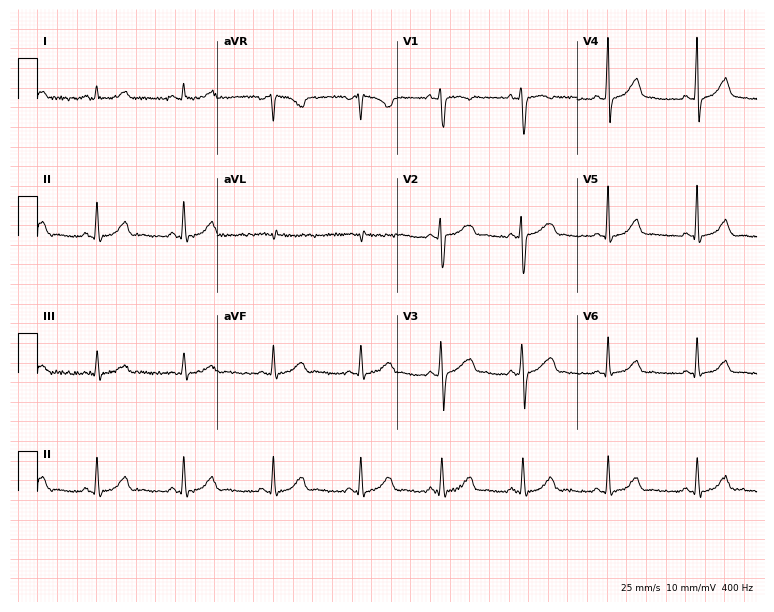
Resting 12-lead electrocardiogram (7.3-second recording at 400 Hz). Patient: a woman, 36 years old. Read as a normal ECG.